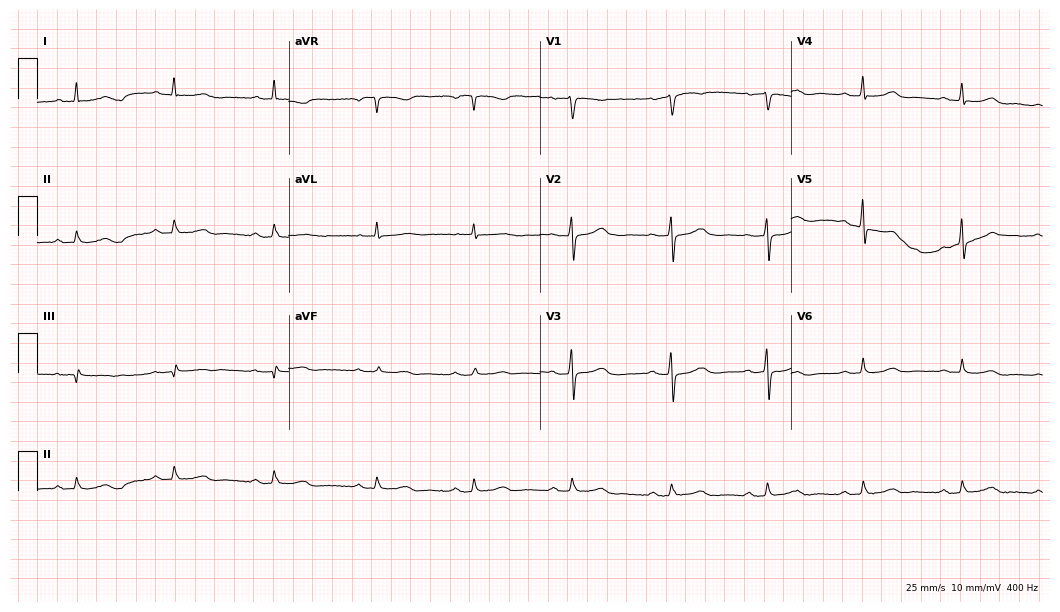
12-lead ECG from a woman, 73 years old. No first-degree AV block, right bundle branch block, left bundle branch block, sinus bradycardia, atrial fibrillation or sinus tachycardia recorded for this tracing. Findings outside these six are not listed.